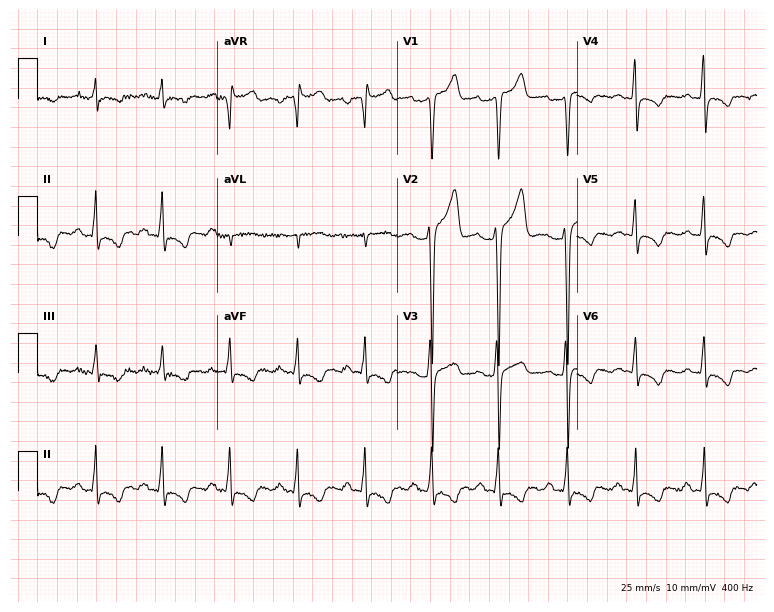
12-lead ECG from a male patient, 31 years old (7.3-second recording at 400 Hz). No first-degree AV block, right bundle branch block, left bundle branch block, sinus bradycardia, atrial fibrillation or sinus tachycardia recorded for this tracing. Findings outside these six are not listed.